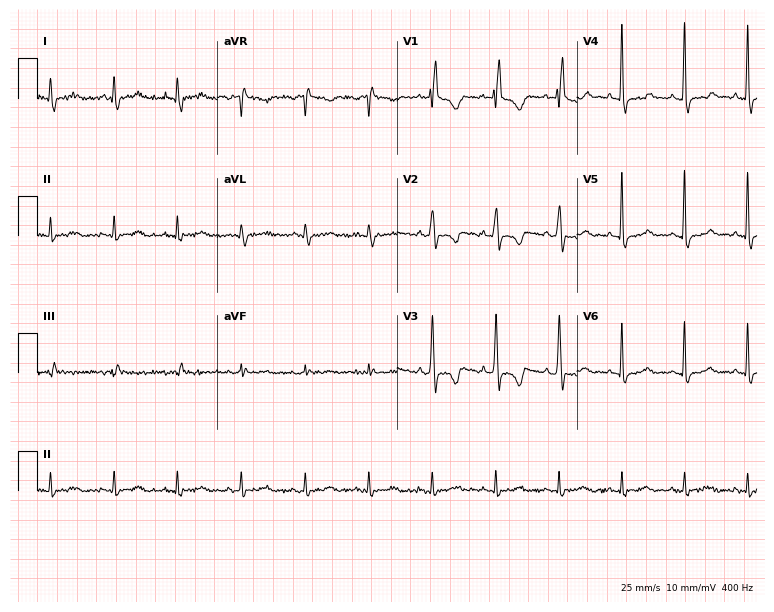
Electrocardiogram (7.3-second recording at 400 Hz), a female, 47 years old. Of the six screened findings (first-degree AV block, right bundle branch block (RBBB), left bundle branch block (LBBB), sinus bradycardia, atrial fibrillation (AF), sinus tachycardia), none is recorded.